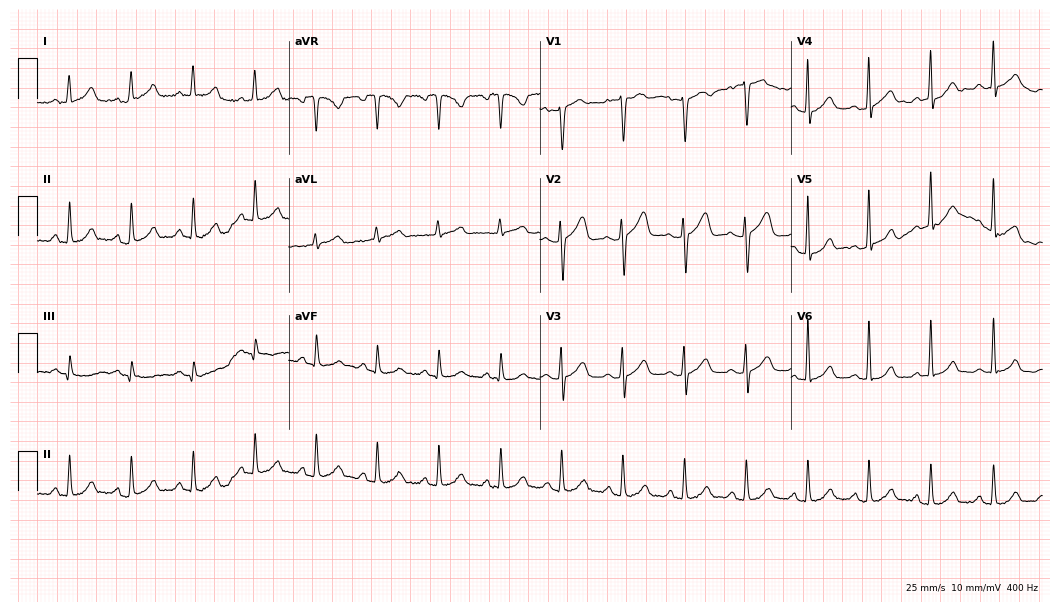
ECG (10.2-second recording at 400 Hz) — a female, 39 years old. Labelled as a normal ECG.